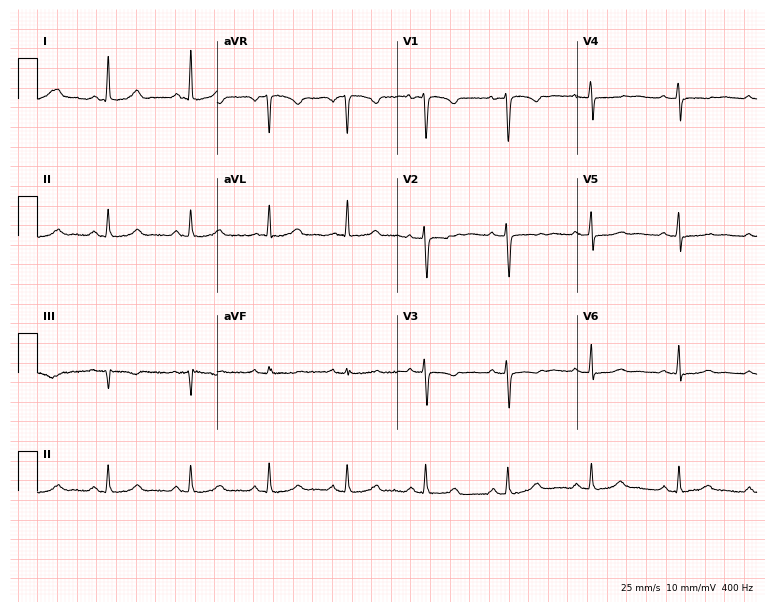
12-lead ECG from a 38-year-old female. No first-degree AV block, right bundle branch block, left bundle branch block, sinus bradycardia, atrial fibrillation or sinus tachycardia recorded for this tracing.